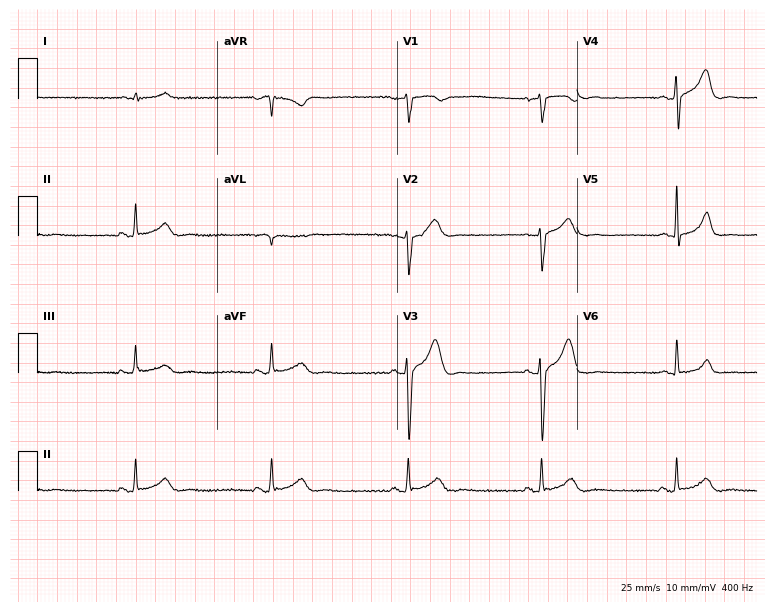
Electrocardiogram, a 46-year-old man. Of the six screened findings (first-degree AV block, right bundle branch block, left bundle branch block, sinus bradycardia, atrial fibrillation, sinus tachycardia), none is recorded. Findings outside these six are not listed.